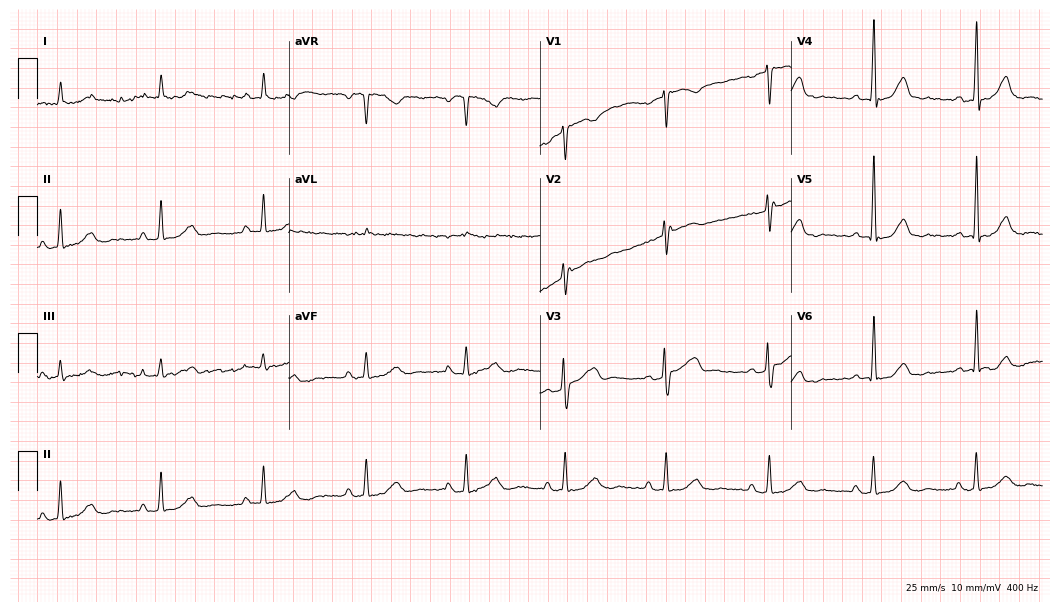
Resting 12-lead electrocardiogram (10.2-second recording at 400 Hz). Patient: a female, 70 years old. None of these six findings is recorded: first-degree AV block, right bundle branch block, left bundle branch block, sinus bradycardia, atrial fibrillation, sinus tachycardia. Findings outside these six are not listed.